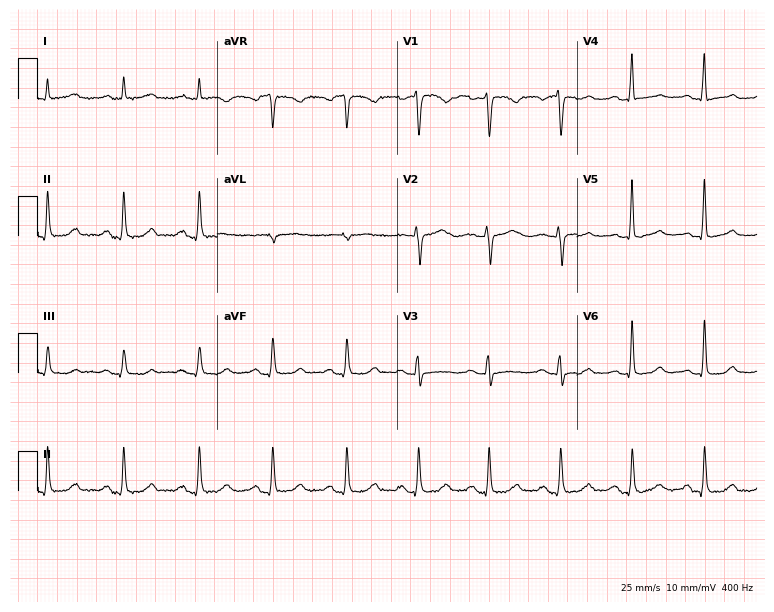
ECG — a 55-year-old female patient. Labelled as a normal ECG.